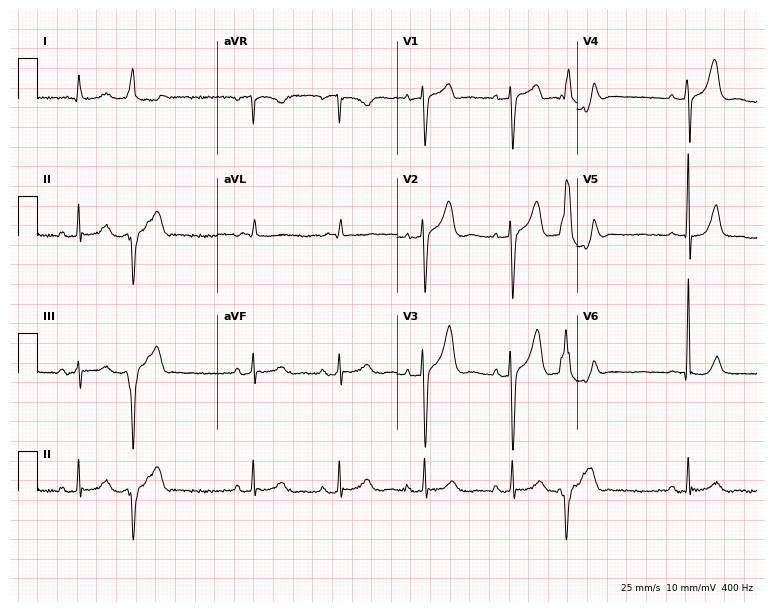
ECG (7.3-second recording at 400 Hz) — a male, 70 years old. Screened for six findings — first-degree AV block, right bundle branch block, left bundle branch block, sinus bradycardia, atrial fibrillation, sinus tachycardia — none is recorded. Only these six findings were labelled.